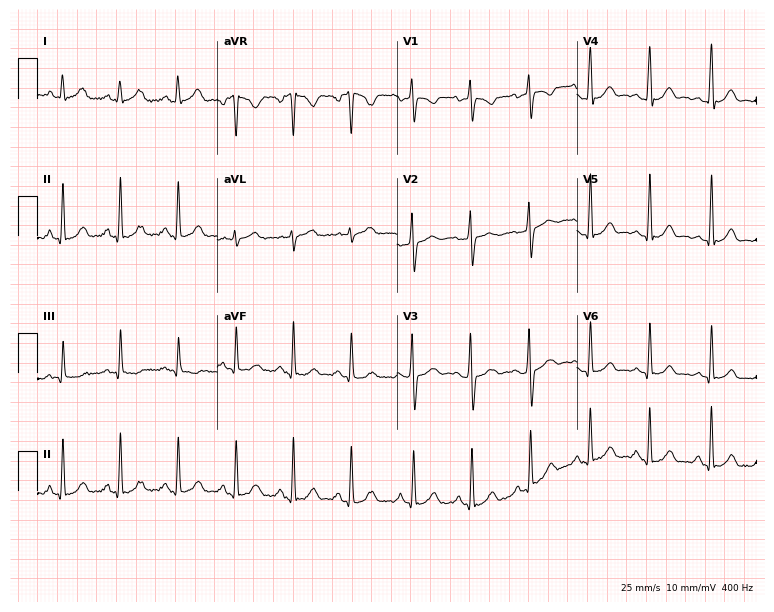
12-lead ECG from a female, 21 years old (7.3-second recording at 400 Hz). Shows sinus tachycardia (a sinus rate of 100 beats per minute or more).